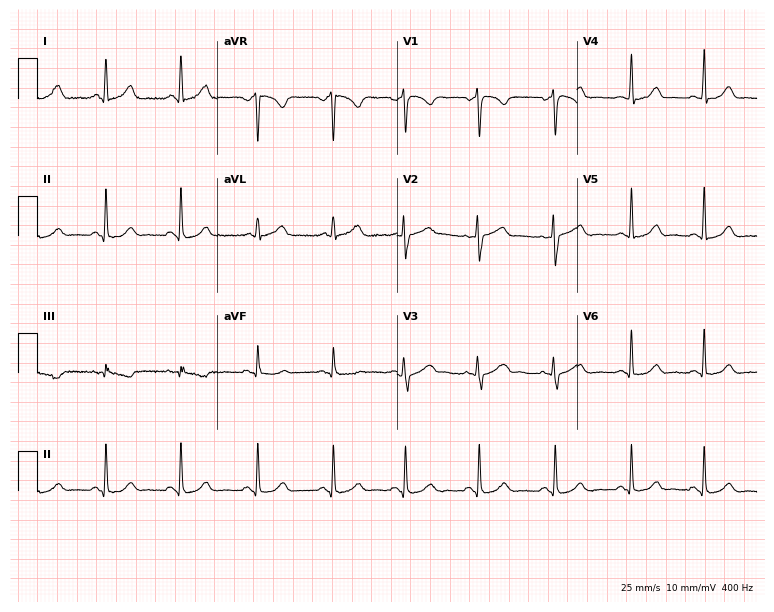
Resting 12-lead electrocardiogram. Patient: a 36-year-old female. Read as a normal ECG.